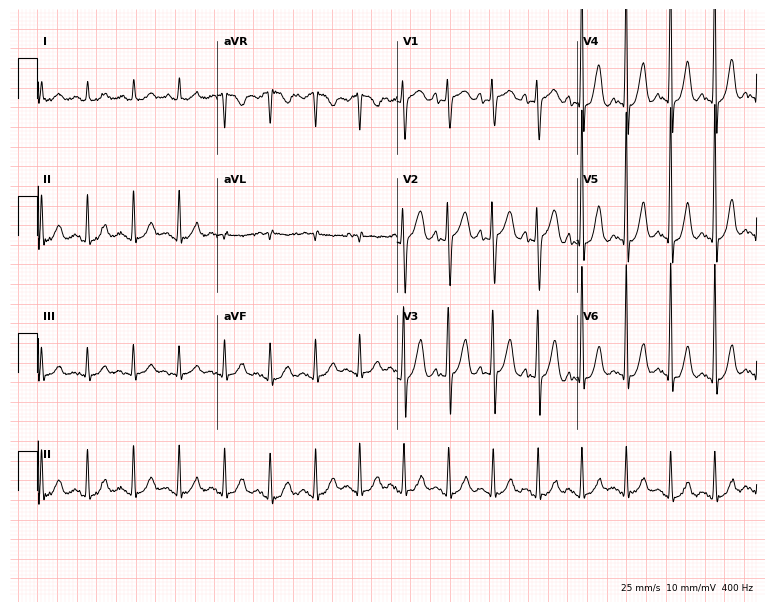
Resting 12-lead electrocardiogram (7.3-second recording at 400 Hz). Patient: a female, 48 years old. The tracing shows sinus tachycardia (a sinus rate of 100 beats per minute or more).